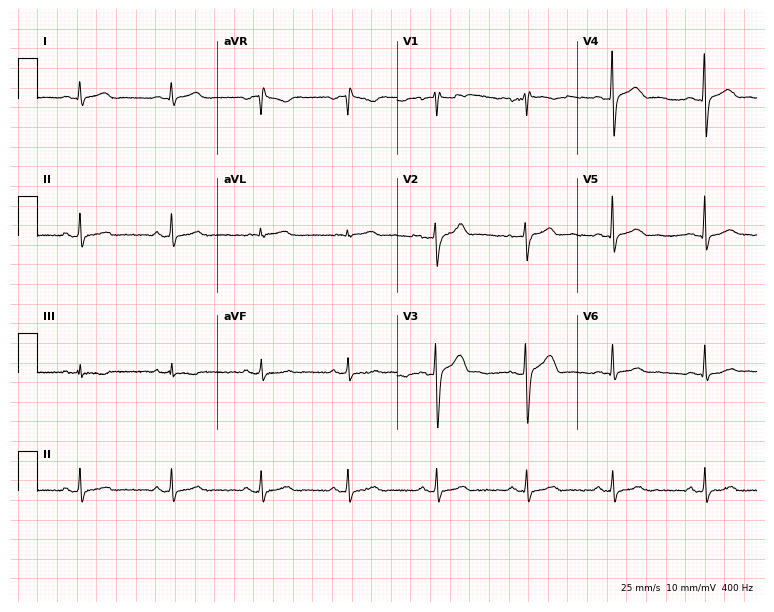
12-lead ECG from a male, 30 years old. Labelled as a normal ECG.